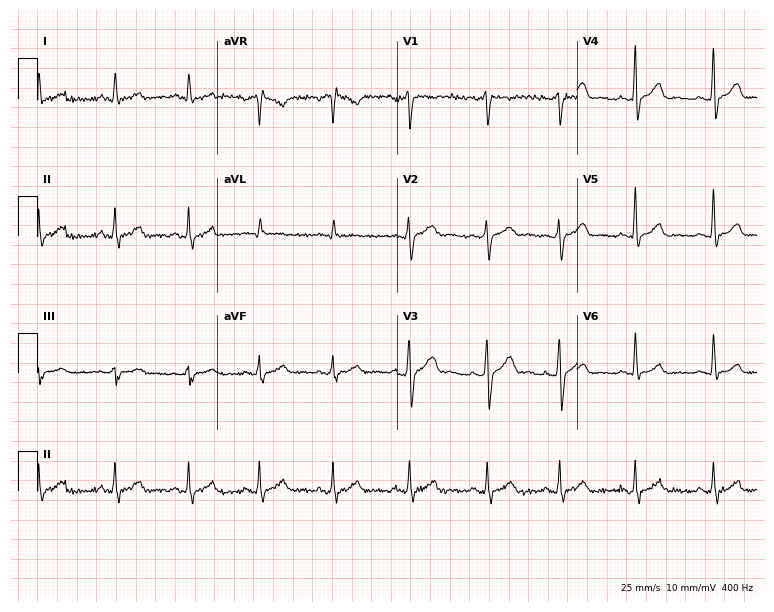
Resting 12-lead electrocardiogram. Patient: a 30-year-old woman. Read as a normal ECG.